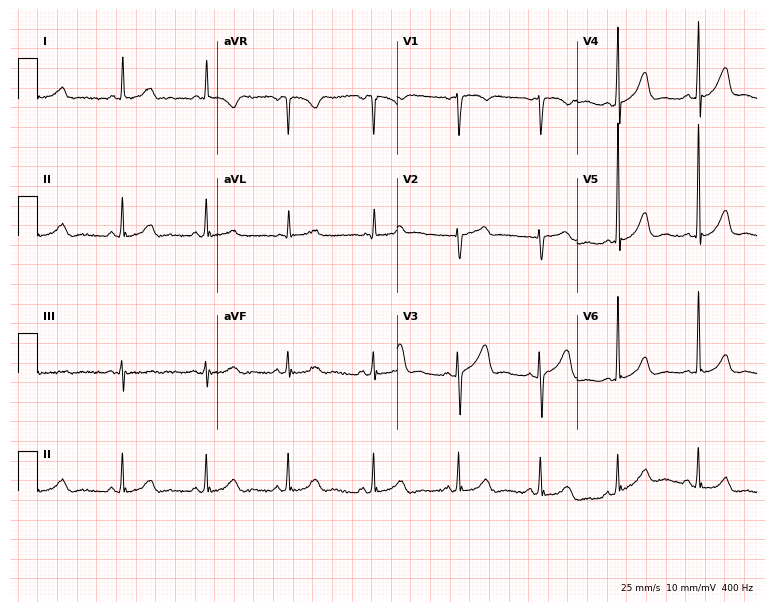
Resting 12-lead electrocardiogram. Patient: a 54-year-old female. None of these six findings is recorded: first-degree AV block, right bundle branch block, left bundle branch block, sinus bradycardia, atrial fibrillation, sinus tachycardia.